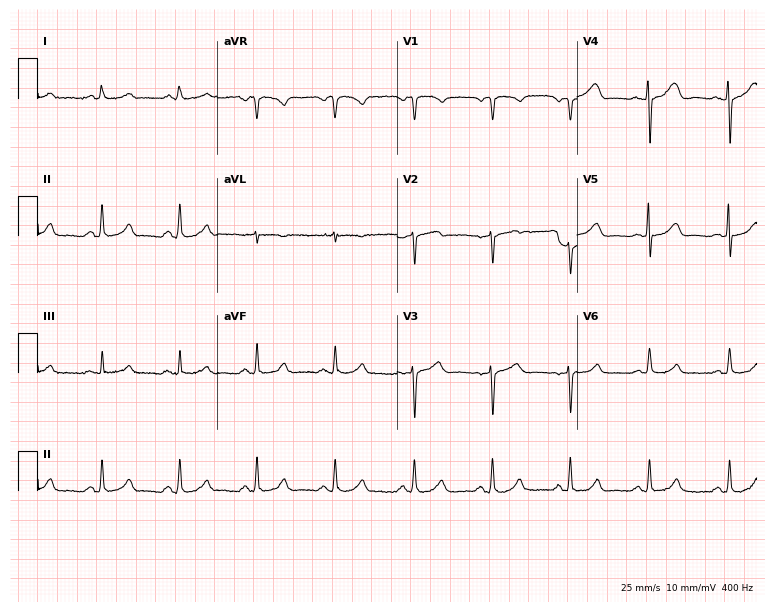
Electrocardiogram, a woman, 62 years old. Overall reading on record: normal ECG.